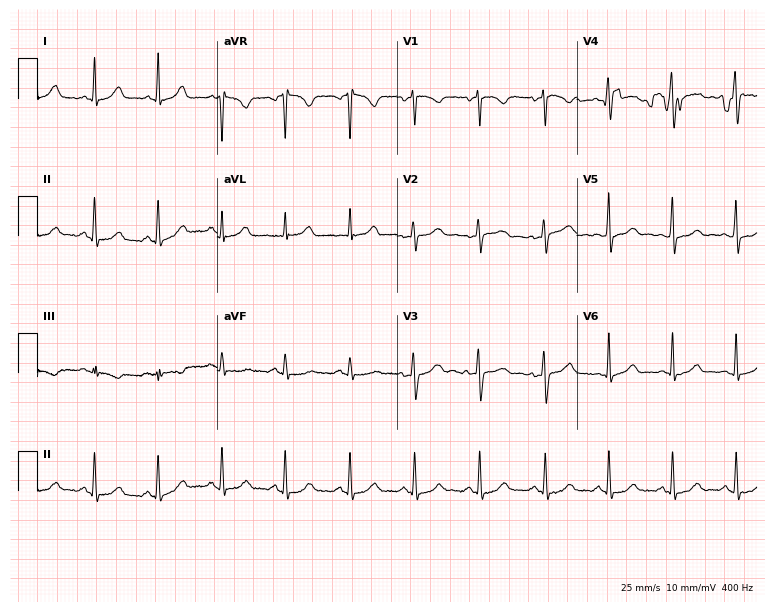
ECG — a female patient, 34 years old. Labelled as a normal ECG.